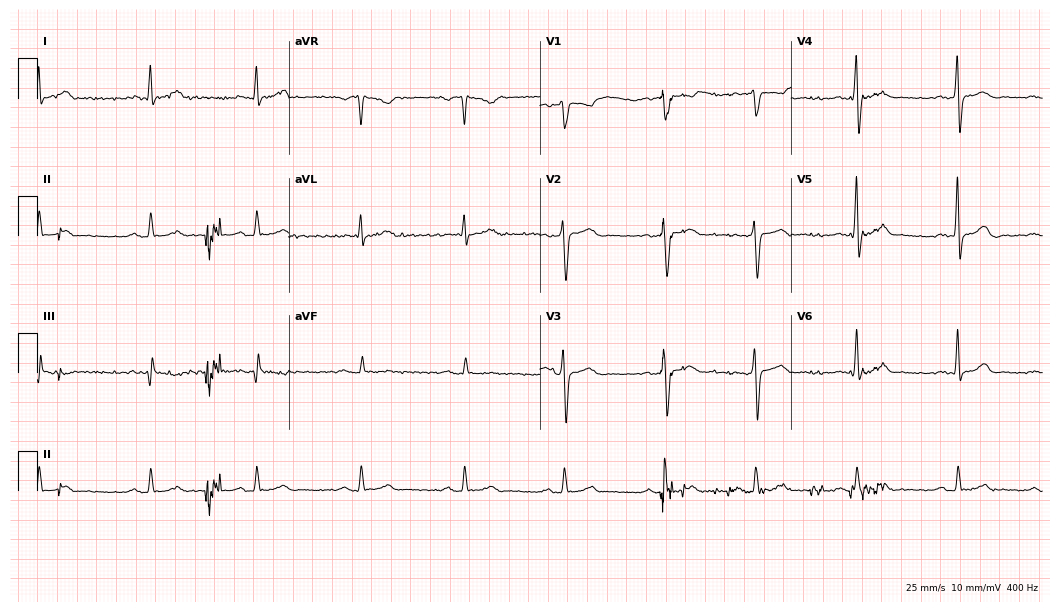
Electrocardiogram, a 29-year-old man. Of the six screened findings (first-degree AV block, right bundle branch block, left bundle branch block, sinus bradycardia, atrial fibrillation, sinus tachycardia), none is recorded.